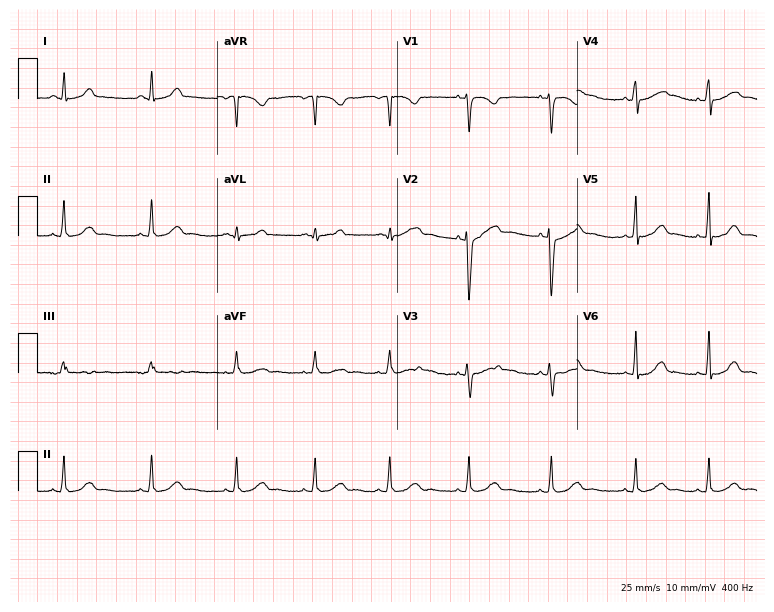
Standard 12-lead ECG recorded from a female, 32 years old (7.3-second recording at 400 Hz). Read as a normal ECG.